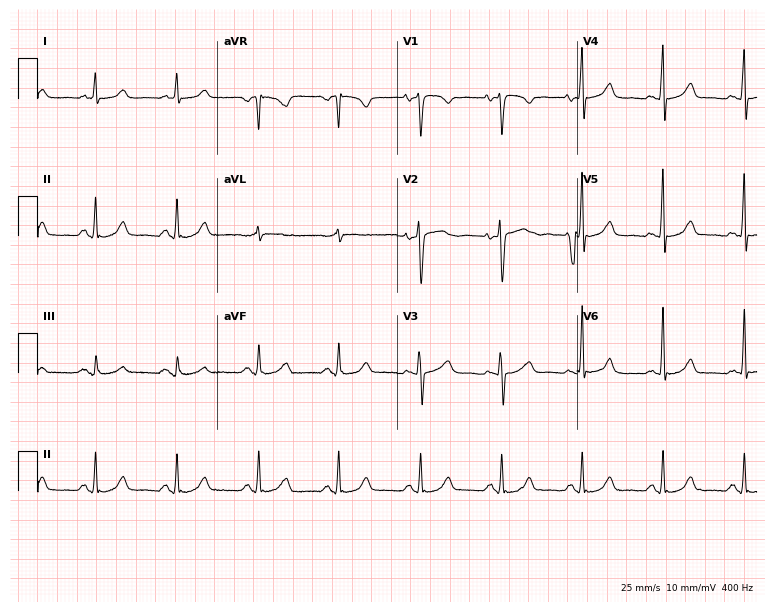
12-lead ECG (7.3-second recording at 400 Hz) from a 38-year-old woman. Labelled as a normal ECG.